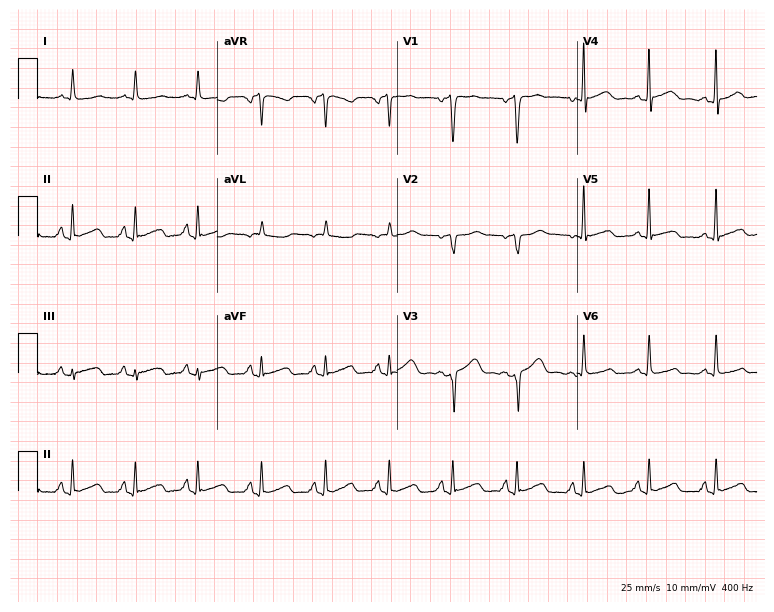
Electrocardiogram (7.3-second recording at 400 Hz), a 52-year-old woman. Of the six screened findings (first-degree AV block, right bundle branch block, left bundle branch block, sinus bradycardia, atrial fibrillation, sinus tachycardia), none is recorded. Only these six findings were labelled.